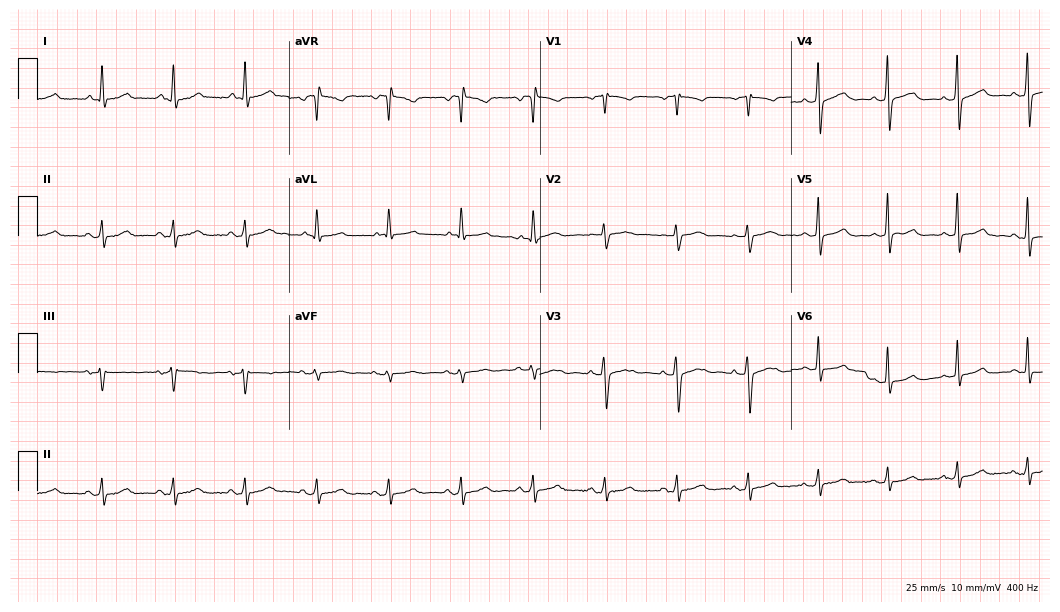
Resting 12-lead electrocardiogram (10.2-second recording at 400 Hz). Patient: a 62-year-old female. None of these six findings is recorded: first-degree AV block, right bundle branch block, left bundle branch block, sinus bradycardia, atrial fibrillation, sinus tachycardia.